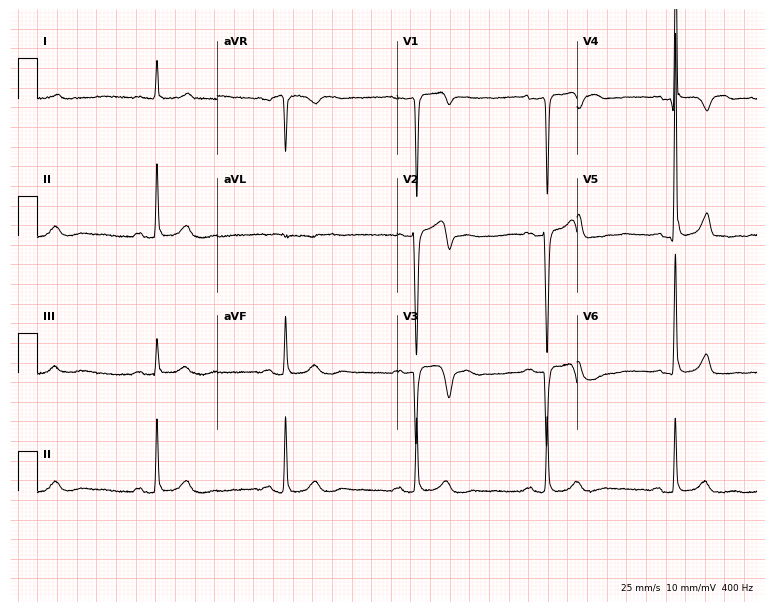
Electrocardiogram, a male, 83 years old. Interpretation includes sinus bradycardia (a sinus rate of 50 beats per minute or less).